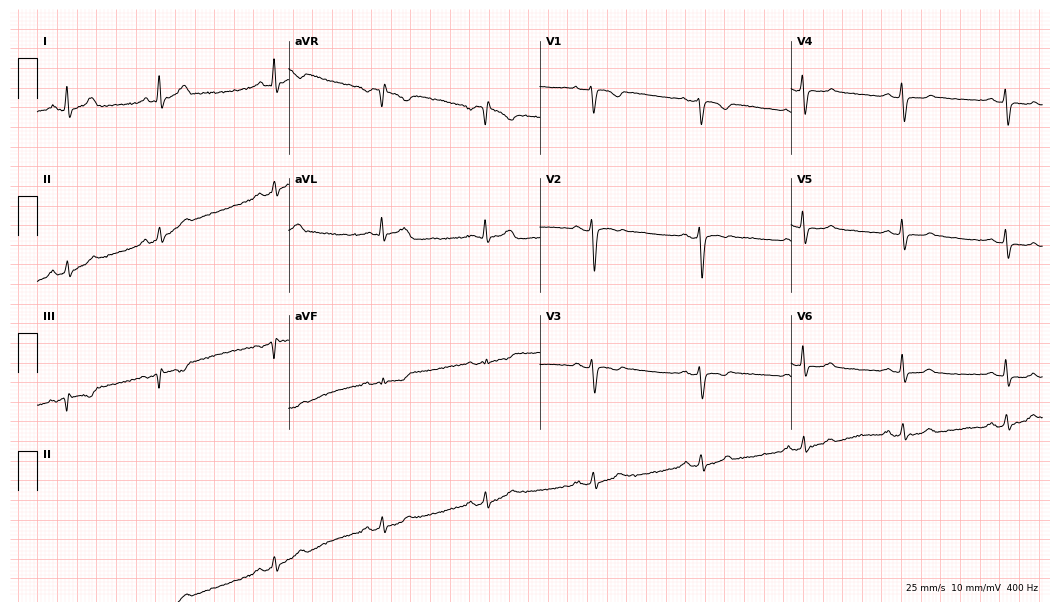
Electrocardiogram, a 46-year-old female patient. Of the six screened findings (first-degree AV block, right bundle branch block (RBBB), left bundle branch block (LBBB), sinus bradycardia, atrial fibrillation (AF), sinus tachycardia), none is recorded. Other findings, if any, are not listed.